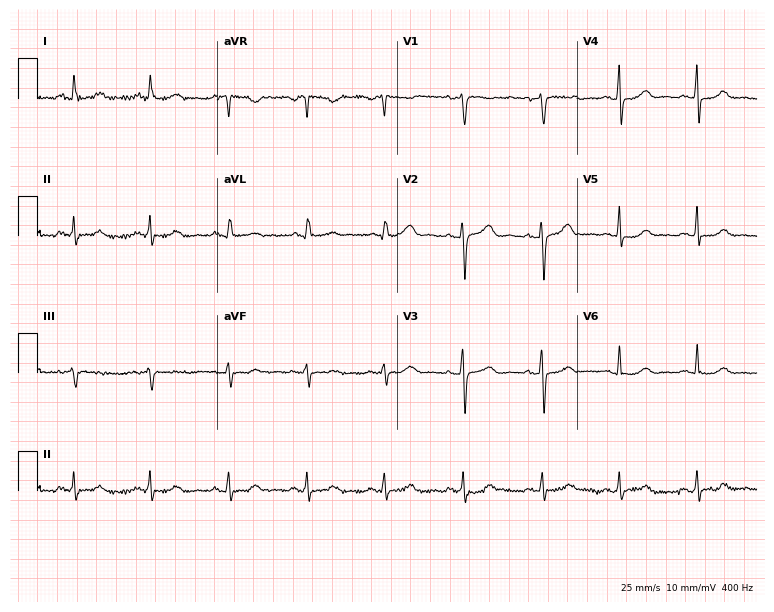
ECG — a 35-year-old female. Labelled as a normal ECG.